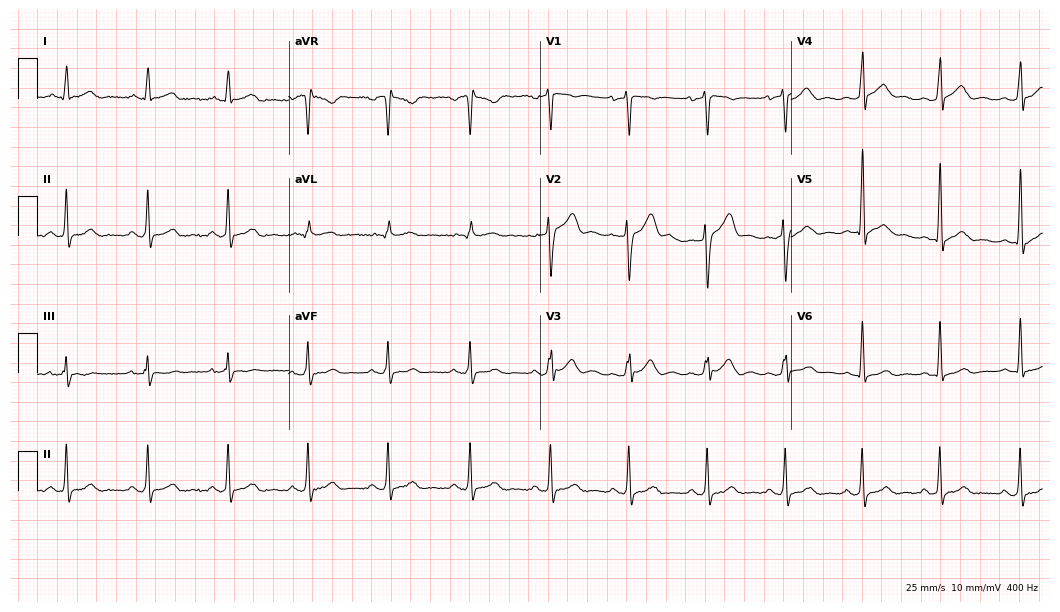
12-lead ECG from a 26-year-old man (10.2-second recording at 400 Hz). Recorded interpretation: within normal limits.